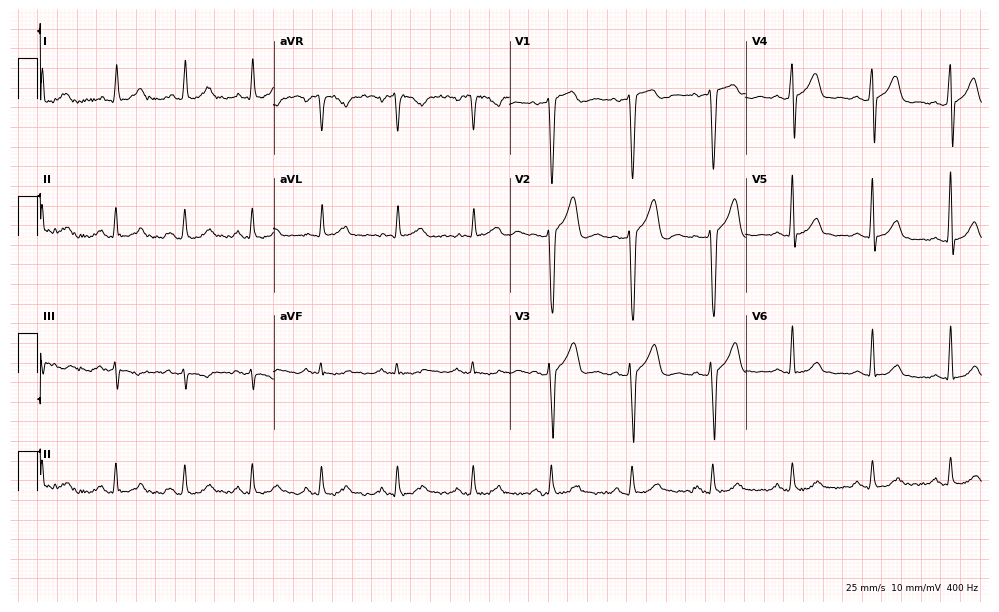
12-lead ECG (9.6-second recording at 400 Hz) from a man, 42 years old. Screened for six findings — first-degree AV block, right bundle branch block, left bundle branch block, sinus bradycardia, atrial fibrillation, sinus tachycardia — none is recorded. Other findings, if any, are not listed.